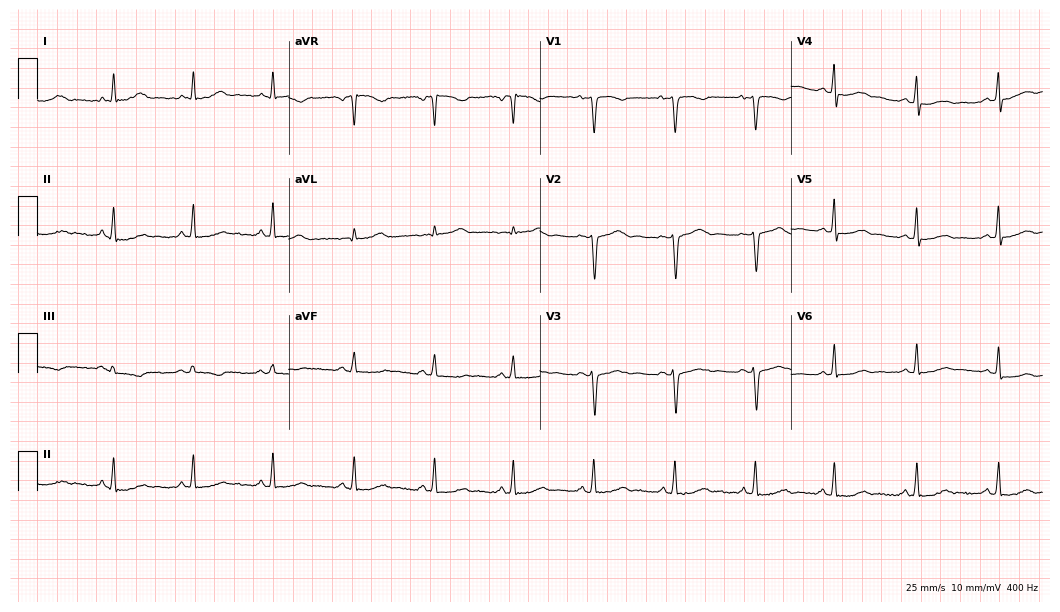
12-lead ECG from a female, 42 years old. Screened for six findings — first-degree AV block, right bundle branch block, left bundle branch block, sinus bradycardia, atrial fibrillation, sinus tachycardia — none is recorded. Only these six findings were labelled.